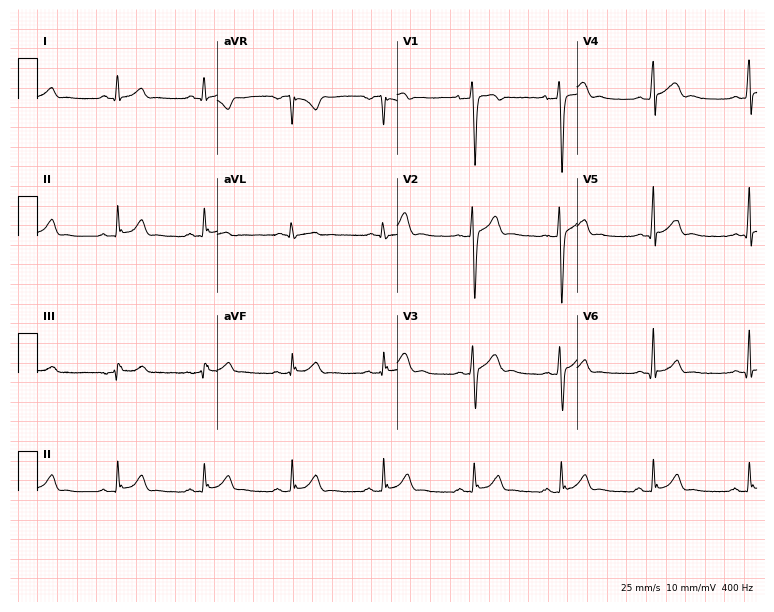
ECG (7.3-second recording at 400 Hz) — a 21-year-old male. Screened for six findings — first-degree AV block, right bundle branch block, left bundle branch block, sinus bradycardia, atrial fibrillation, sinus tachycardia — none is recorded.